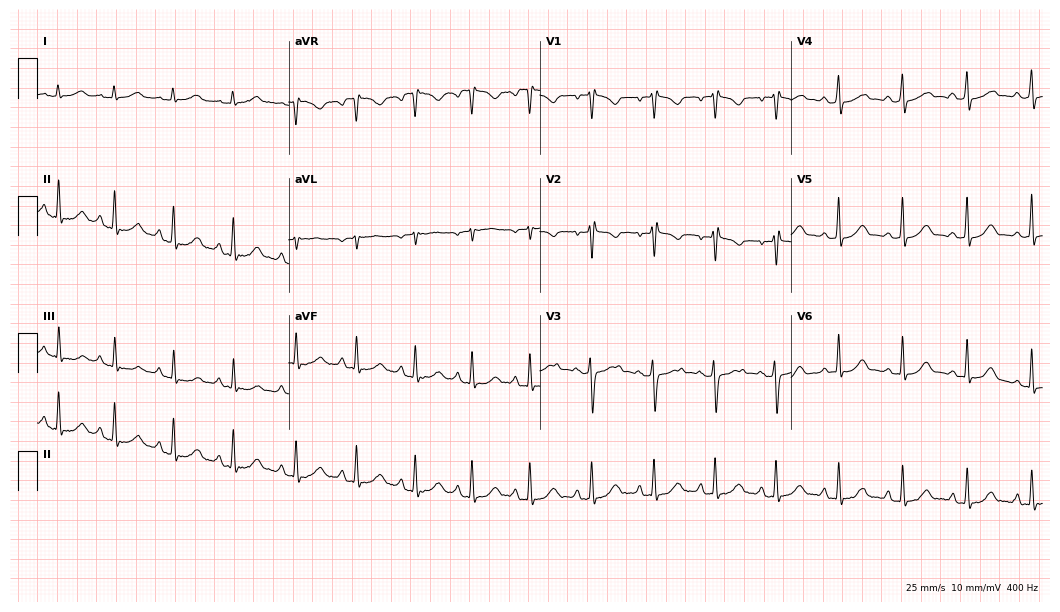
12-lead ECG from a 22-year-old female patient. Screened for six findings — first-degree AV block, right bundle branch block, left bundle branch block, sinus bradycardia, atrial fibrillation, sinus tachycardia — none is recorded. Other findings, if any, are not listed.